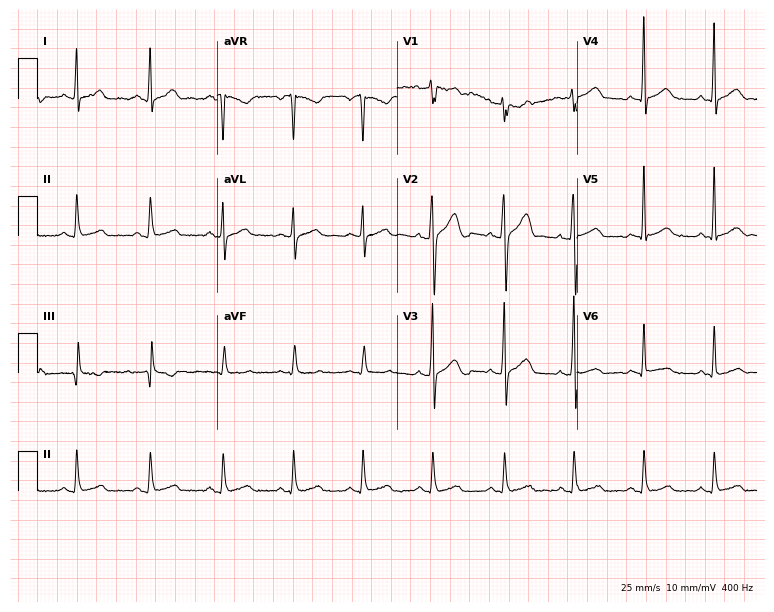
ECG — a 26-year-old man. Labelled as a normal ECG.